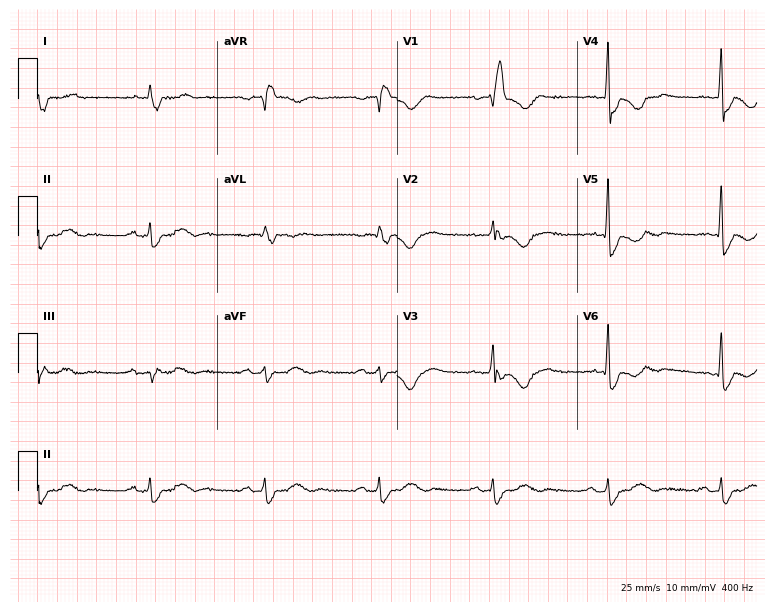
ECG — a 70-year-old woman. Findings include right bundle branch block.